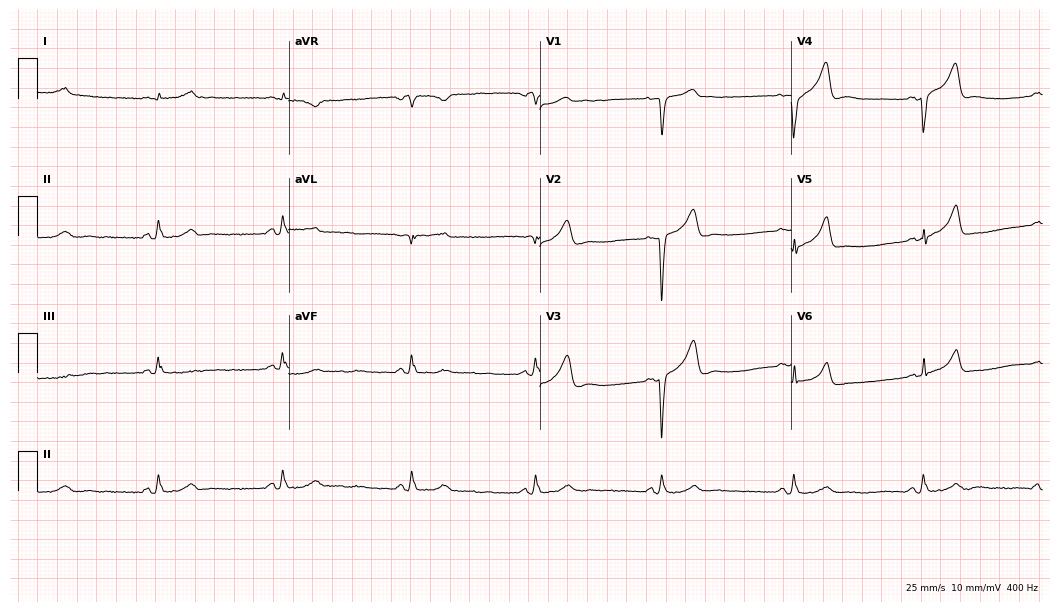
Standard 12-lead ECG recorded from a male patient, 56 years old (10.2-second recording at 400 Hz). Read as a normal ECG.